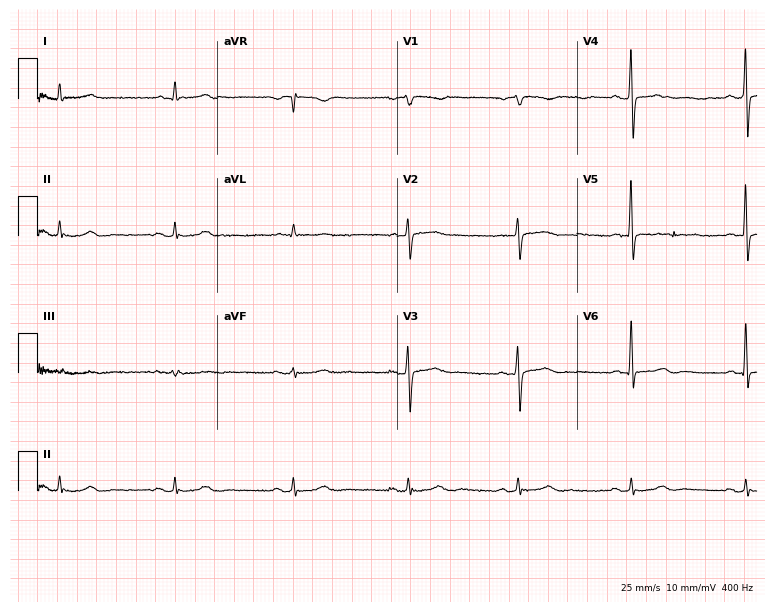
Standard 12-lead ECG recorded from a male patient, 86 years old. Read as a normal ECG.